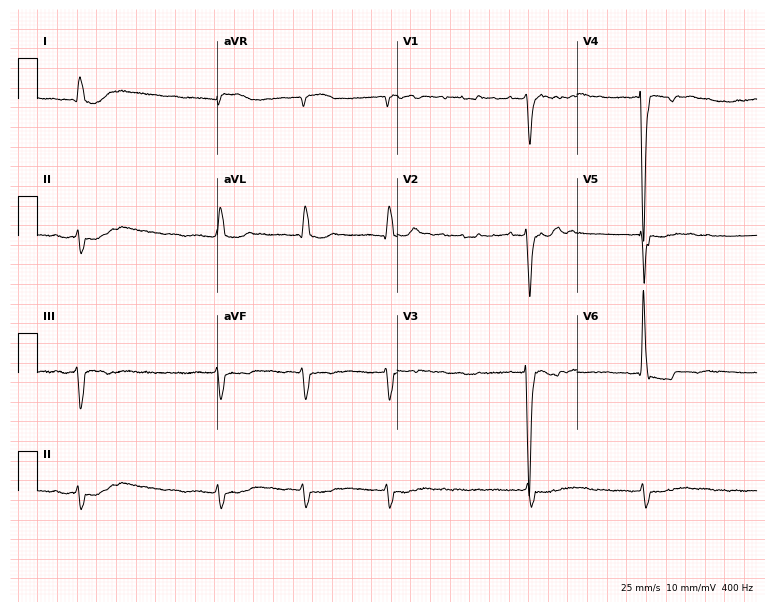
Standard 12-lead ECG recorded from a 77-year-old male patient. None of these six findings is recorded: first-degree AV block, right bundle branch block, left bundle branch block, sinus bradycardia, atrial fibrillation, sinus tachycardia. Only these six findings were labelled.